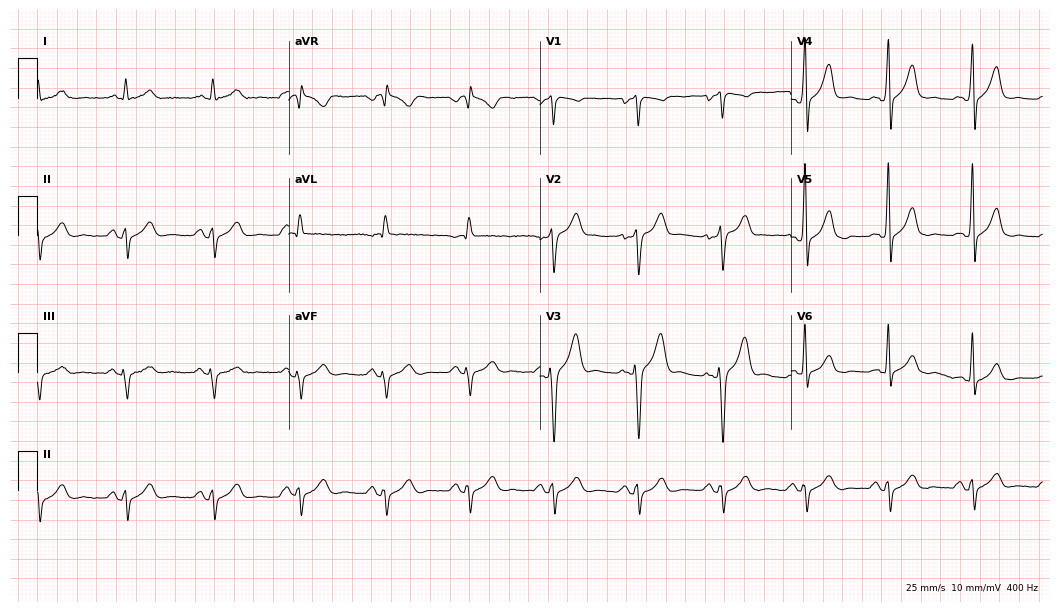
ECG — a male, 47 years old. Screened for six findings — first-degree AV block, right bundle branch block (RBBB), left bundle branch block (LBBB), sinus bradycardia, atrial fibrillation (AF), sinus tachycardia — none is recorded.